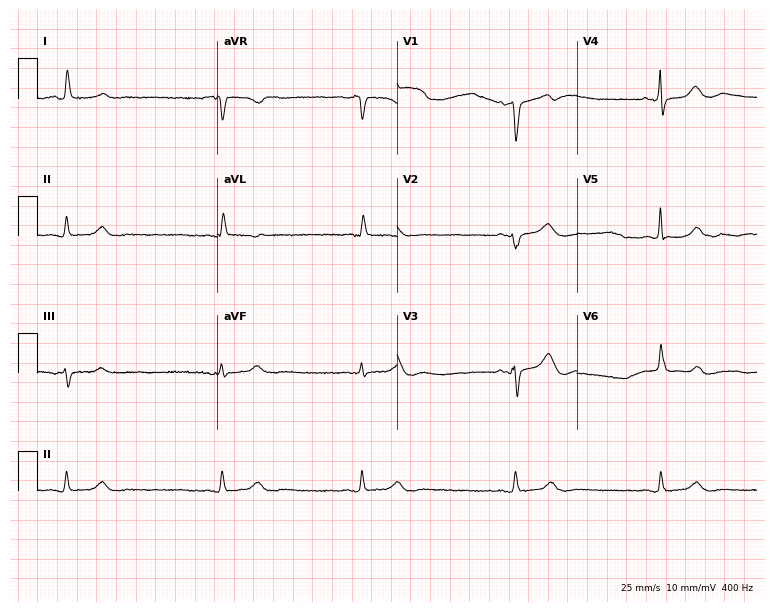
Resting 12-lead electrocardiogram (7.3-second recording at 400 Hz). Patient: a 79-year-old male. None of these six findings is recorded: first-degree AV block, right bundle branch block, left bundle branch block, sinus bradycardia, atrial fibrillation, sinus tachycardia.